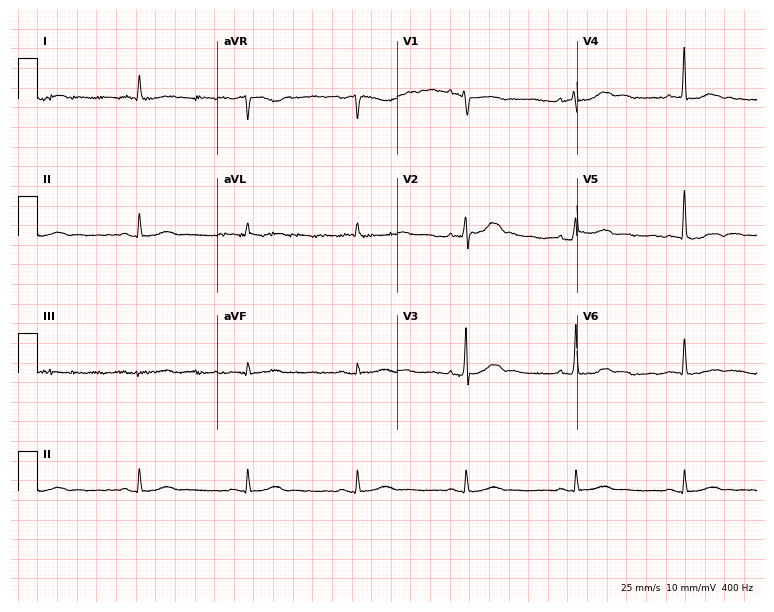
Electrocardiogram (7.3-second recording at 400 Hz), a male, 68 years old. Overall reading on record: normal ECG.